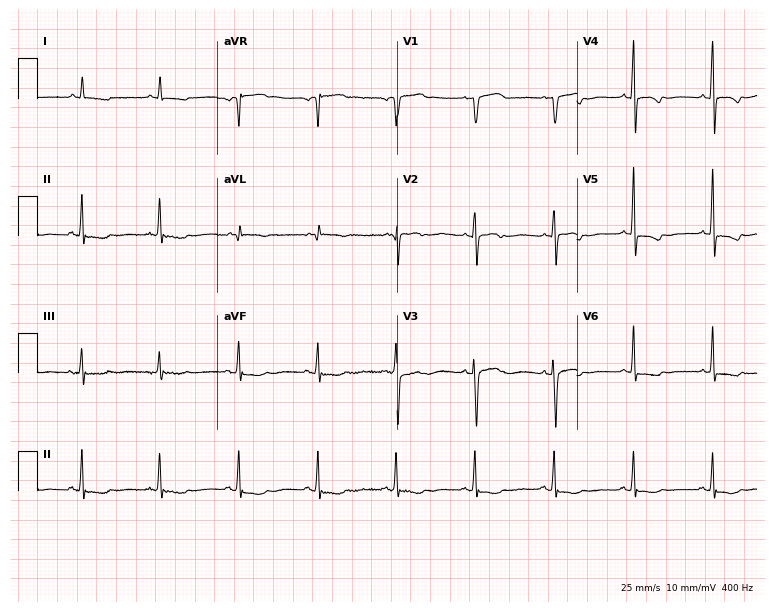
Electrocardiogram, a male, 74 years old. Of the six screened findings (first-degree AV block, right bundle branch block, left bundle branch block, sinus bradycardia, atrial fibrillation, sinus tachycardia), none is recorded.